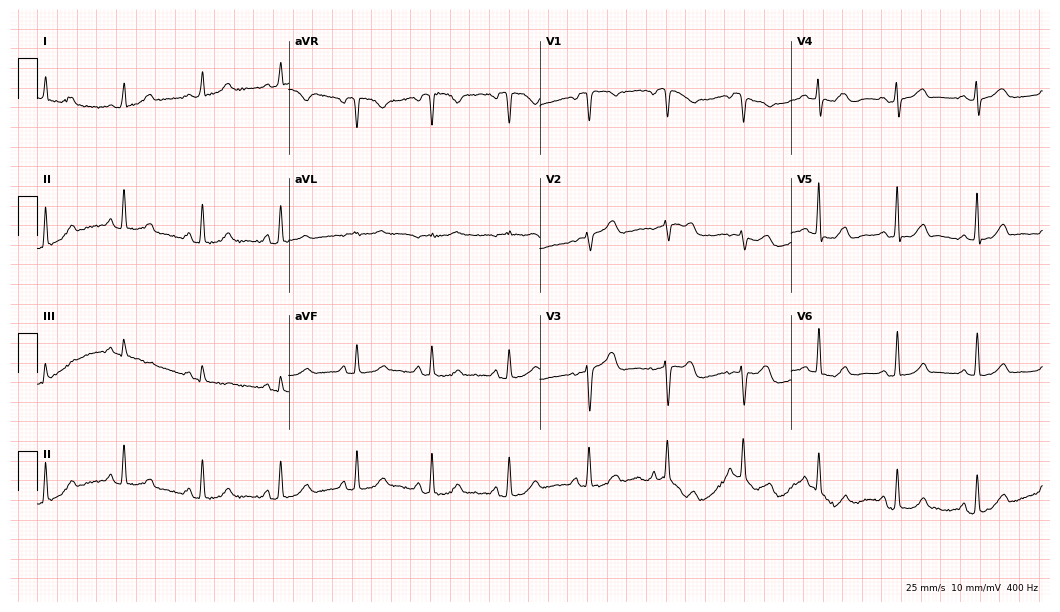
Standard 12-lead ECG recorded from a woman, 51 years old. Read as a normal ECG.